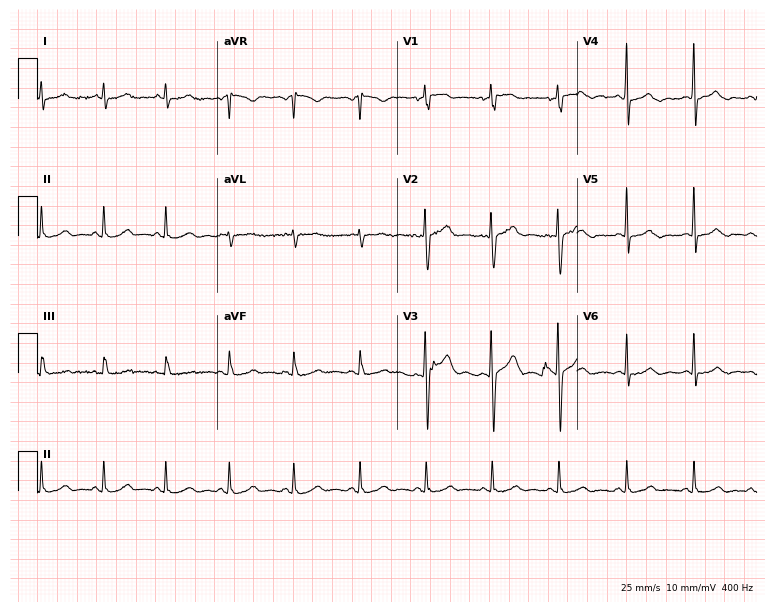
12-lead ECG from a 32-year-old female patient (7.3-second recording at 400 Hz). Recorded interpretation: within normal limits.